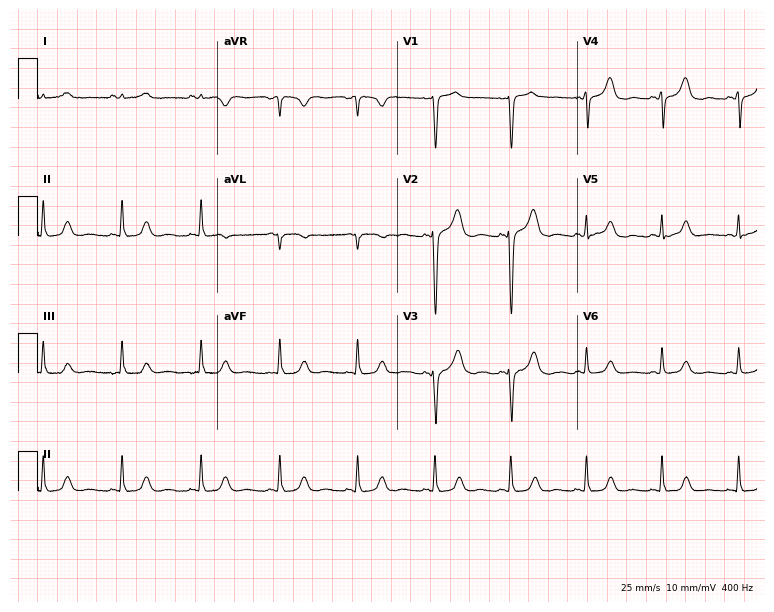
12-lead ECG from a woman, 44 years old. Screened for six findings — first-degree AV block, right bundle branch block (RBBB), left bundle branch block (LBBB), sinus bradycardia, atrial fibrillation (AF), sinus tachycardia — none is recorded. Only these six findings were labelled.